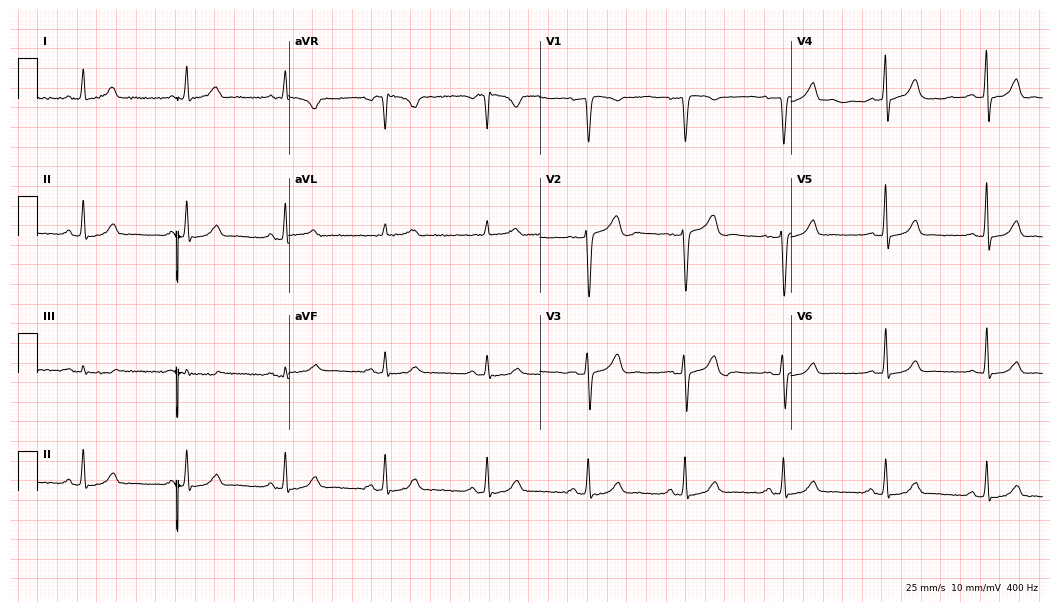
ECG (10.2-second recording at 400 Hz) — a female patient, 51 years old. Labelled as a normal ECG.